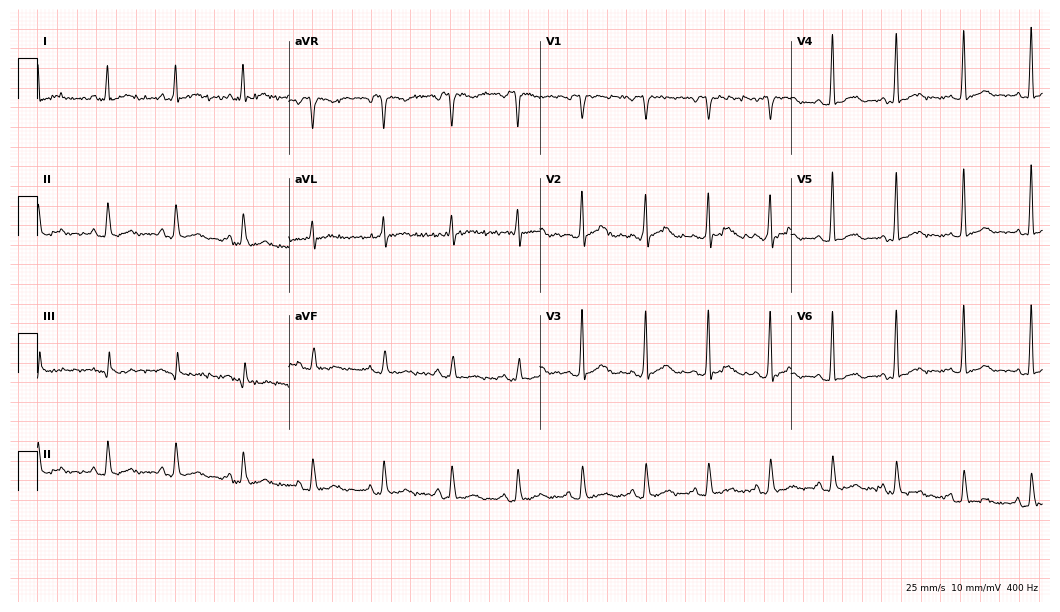
Resting 12-lead electrocardiogram. Patient: a male, 45 years old. None of these six findings is recorded: first-degree AV block, right bundle branch block (RBBB), left bundle branch block (LBBB), sinus bradycardia, atrial fibrillation (AF), sinus tachycardia.